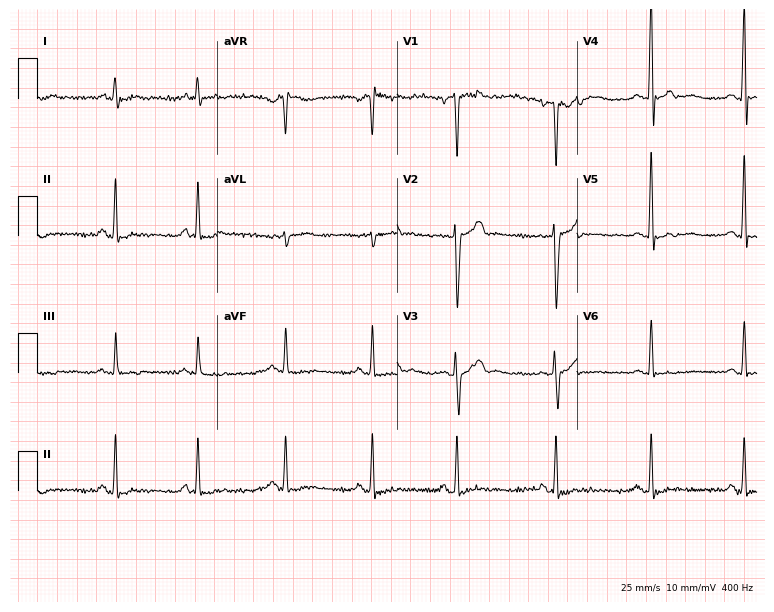
ECG — a 40-year-old man. Screened for six findings — first-degree AV block, right bundle branch block, left bundle branch block, sinus bradycardia, atrial fibrillation, sinus tachycardia — none is recorded.